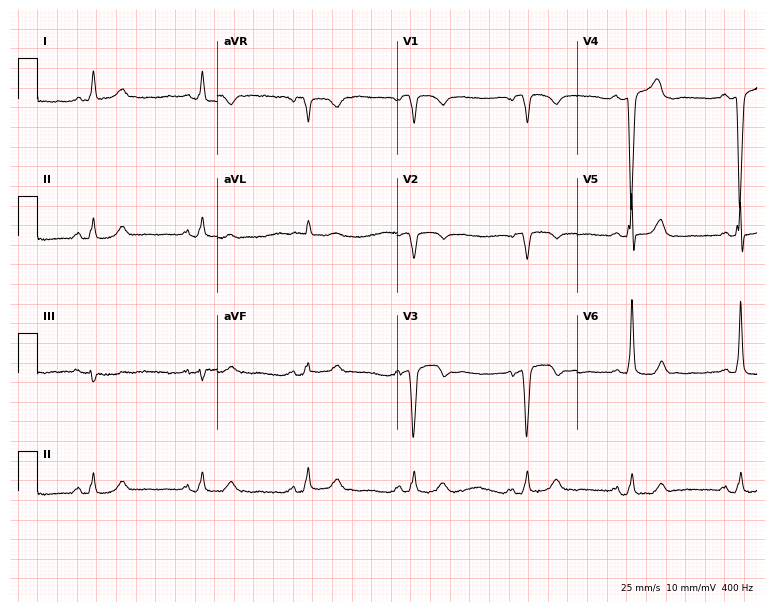
ECG — a 67-year-old female patient. Labelled as a normal ECG.